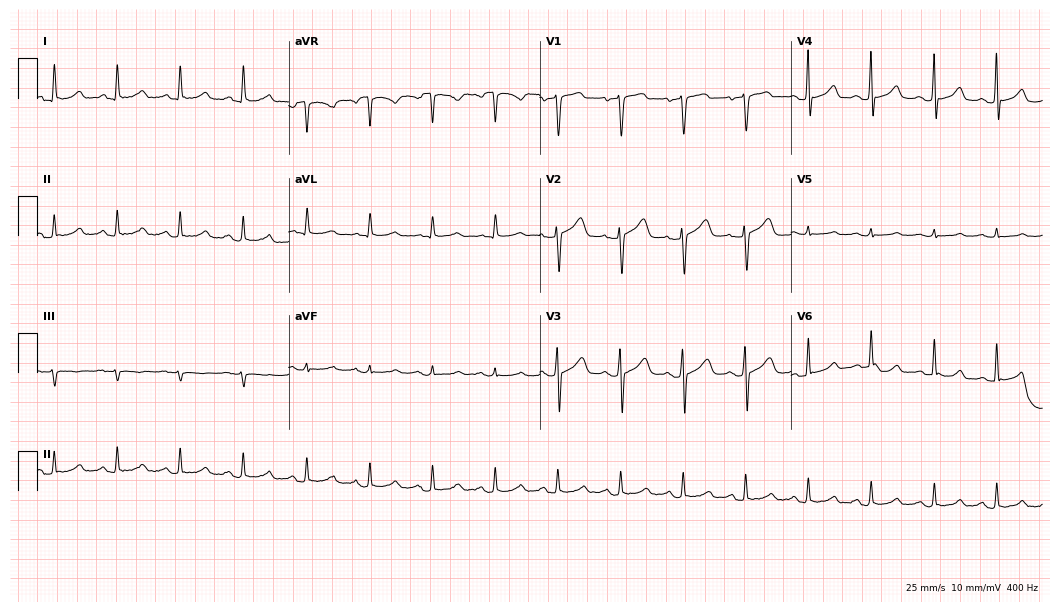
Resting 12-lead electrocardiogram (10.2-second recording at 400 Hz). Patient: a female, 47 years old. Read as a normal ECG.